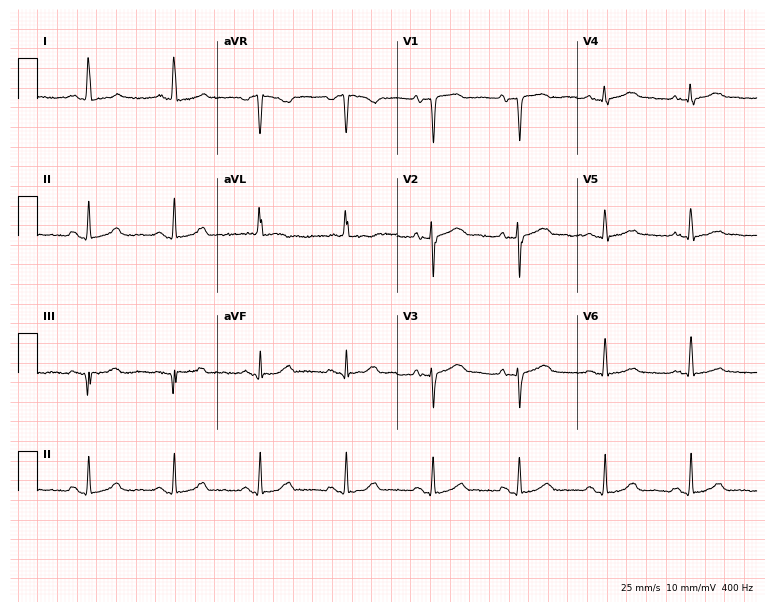
12-lead ECG from a 77-year-old female patient (7.3-second recording at 400 Hz). No first-degree AV block, right bundle branch block, left bundle branch block, sinus bradycardia, atrial fibrillation or sinus tachycardia recorded for this tracing.